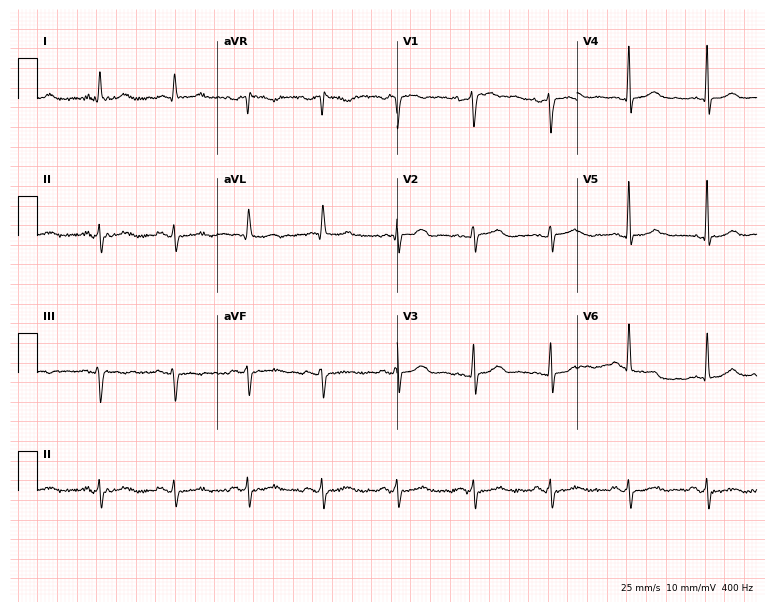
12-lead ECG from a 44-year-old female. No first-degree AV block, right bundle branch block, left bundle branch block, sinus bradycardia, atrial fibrillation or sinus tachycardia recorded for this tracing.